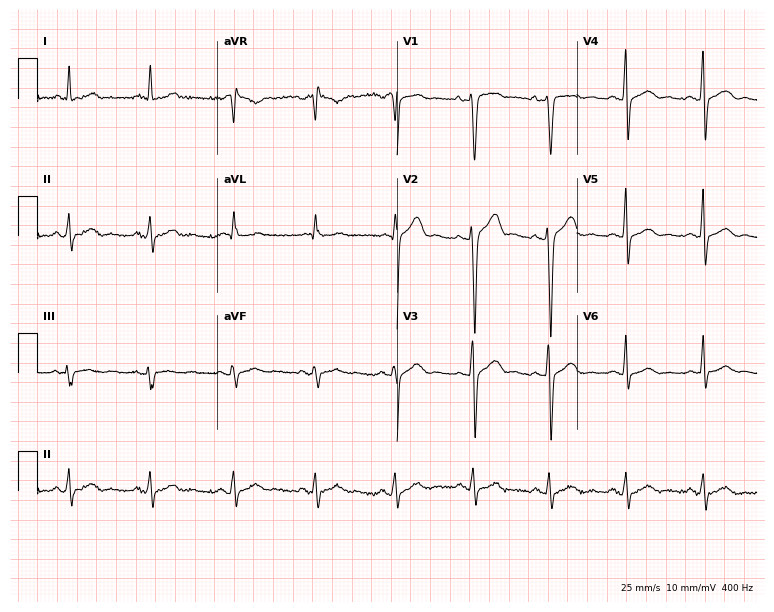
Standard 12-lead ECG recorded from a 54-year-old man. Read as a normal ECG.